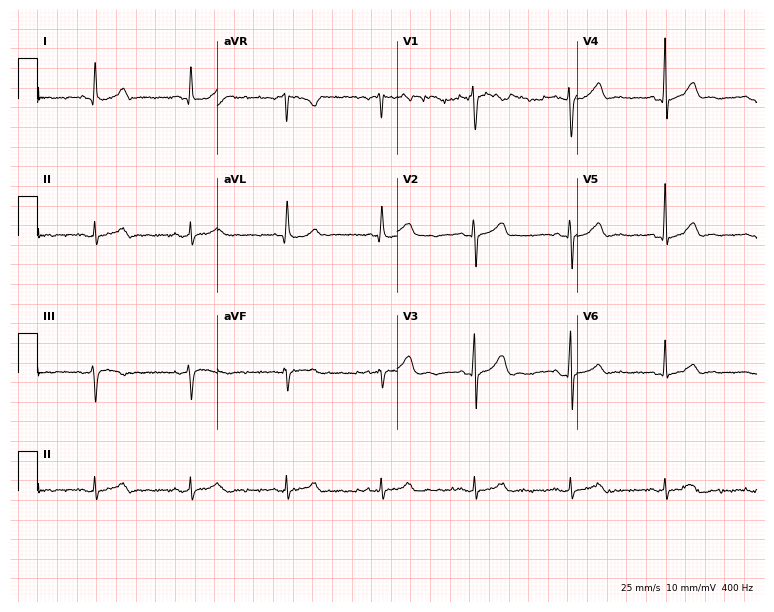
12-lead ECG from a man, 38 years old. Recorded interpretation: within normal limits.